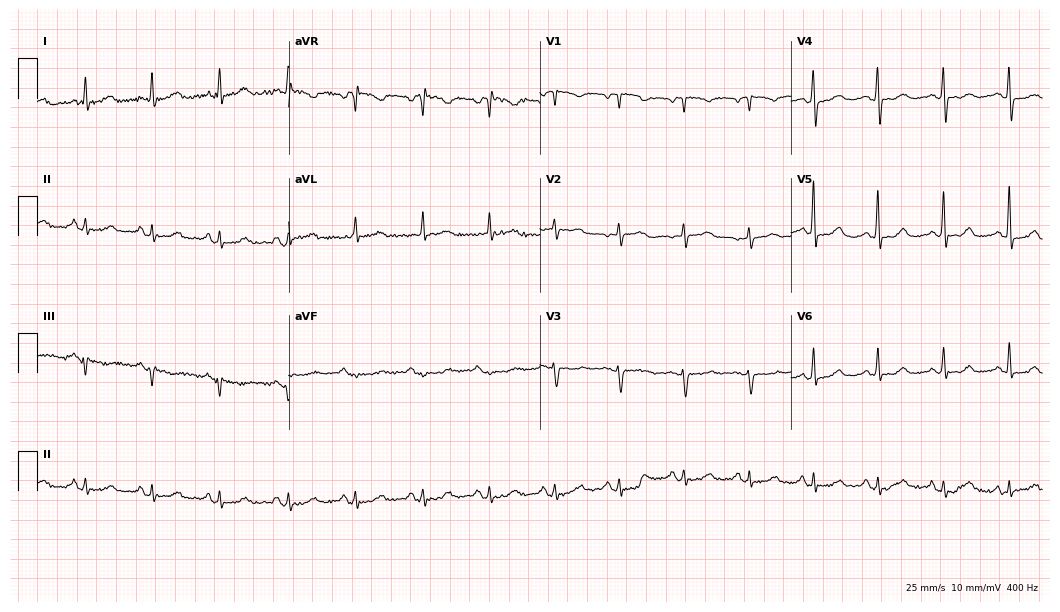
Electrocardiogram, a woman, 67 years old. Of the six screened findings (first-degree AV block, right bundle branch block (RBBB), left bundle branch block (LBBB), sinus bradycardia, atrial fibrillation (AF), sinus tachycardia), none is recorded.